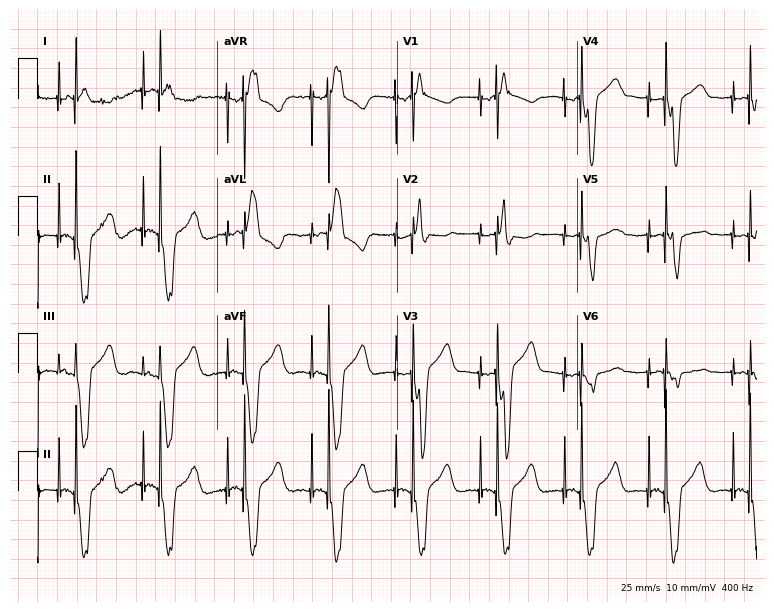
Resting 12-lead electrocardiogram (7.3-second recording at 400 Hz). Patient: a male, 85 years old. None of these six findings is recorded: first-degree AV block, right bundle branch block, left bundle branch block, sinus bradycardia, atrial fibrillation, sinus tachycardia.